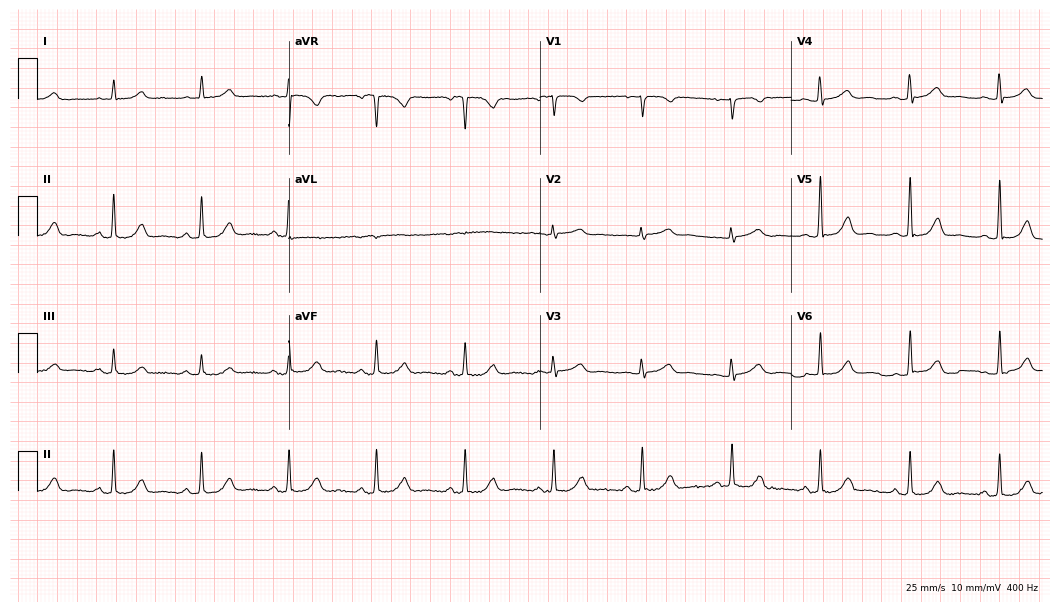
Standard 12-lead ECG recorded from a female, 75 years old. Read as a normal ECG.